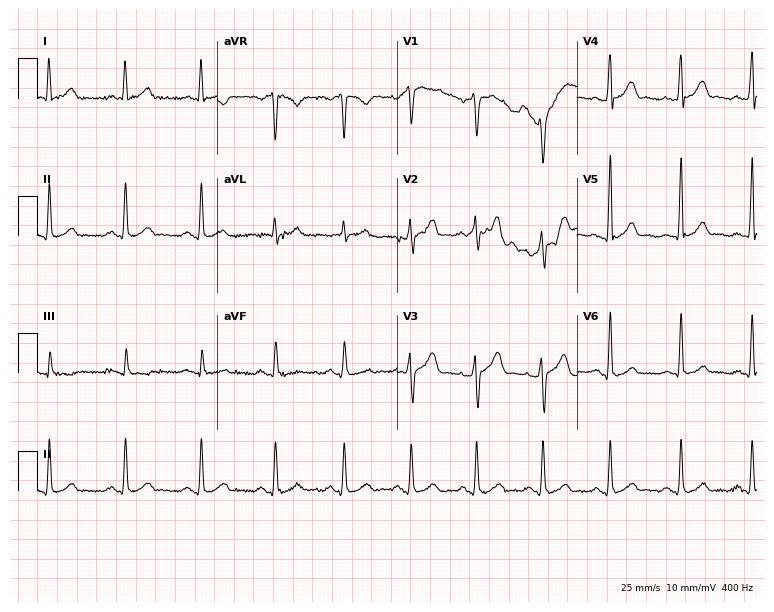
Electrocardiogram, a 46-year-old male. Of the six screened findings (first-degree AV block, right bundle branch block (RBBB), left bundle branch block (LBBB), sinus bradycardia, atrial fibrillation (AF), sinus tachycardia), none is recorded. Only these six findings were labelled.